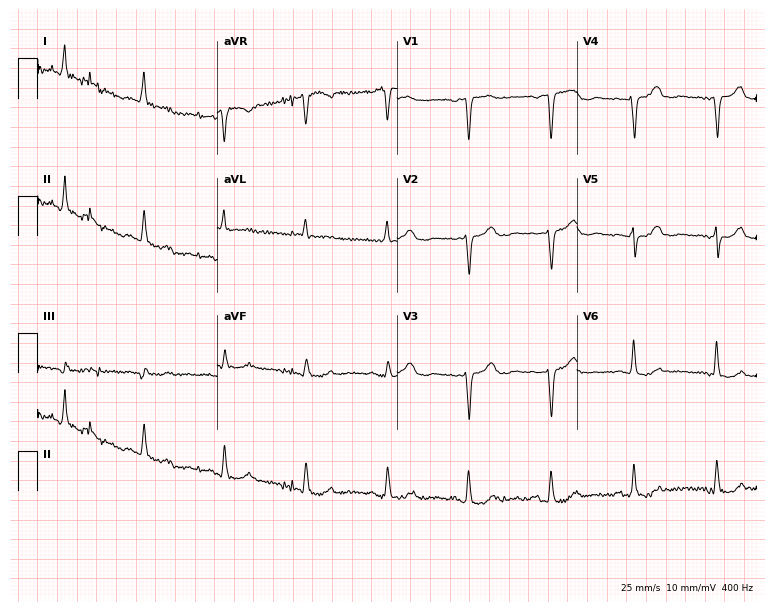
Standard 12-lead ECG recorded from an 83-year-old woman (7.3-second recording at 400 Hz). None of these six findings is recorded: first-degree AV block, right bundle branch block (RBBB), left bundle branch block (LBBB), sinus bradycardia, atrial fibrillation (AF), sinus tachycardia. Other findings, if any, are not listed.